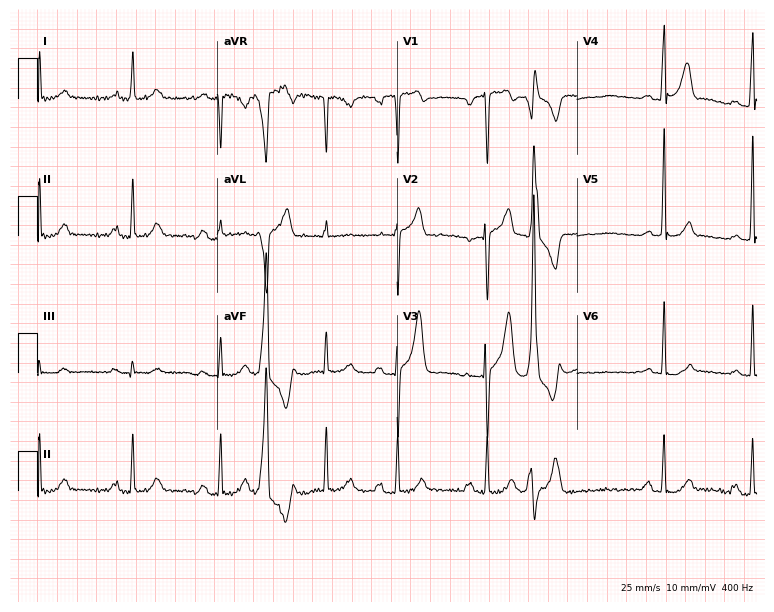
Standard 12-lead ECG recorded from a male, 55 years old (7.3-second recording at 400 Hz). None of these six findings is recorded: first-degree AV block, right bundle branch block (RBBB), left bundle branch block (LBBB), sinus bradycardia, atrial fibrillation (AF), sinus tachycardia.